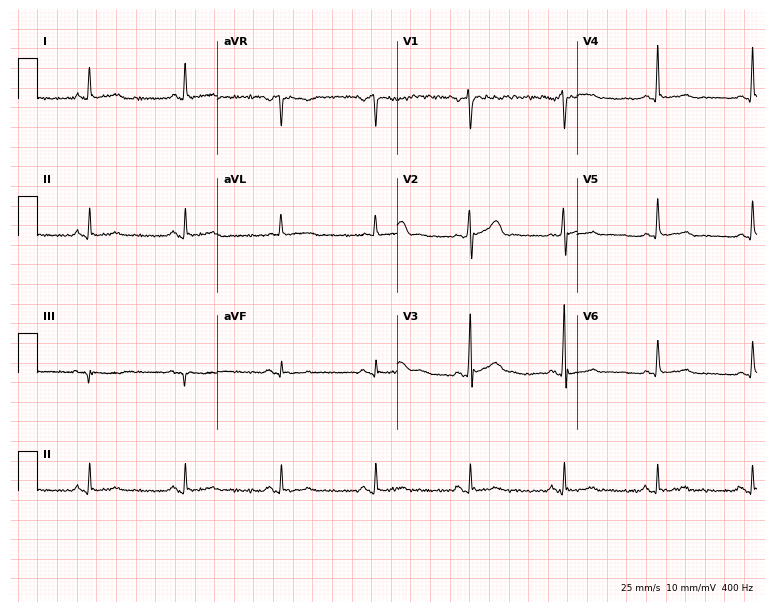
Resting 12-lead electrocardiogram (7.3-second recording at 400 Hz). Patient: a 40-year-old man. None of these six findings is recorded: first-degree AV block, right bundle branch block, left bundle branch block, sinus bradycardia, atrial fibrillation, sinus tachycardia. Findings outside these six are not listed.